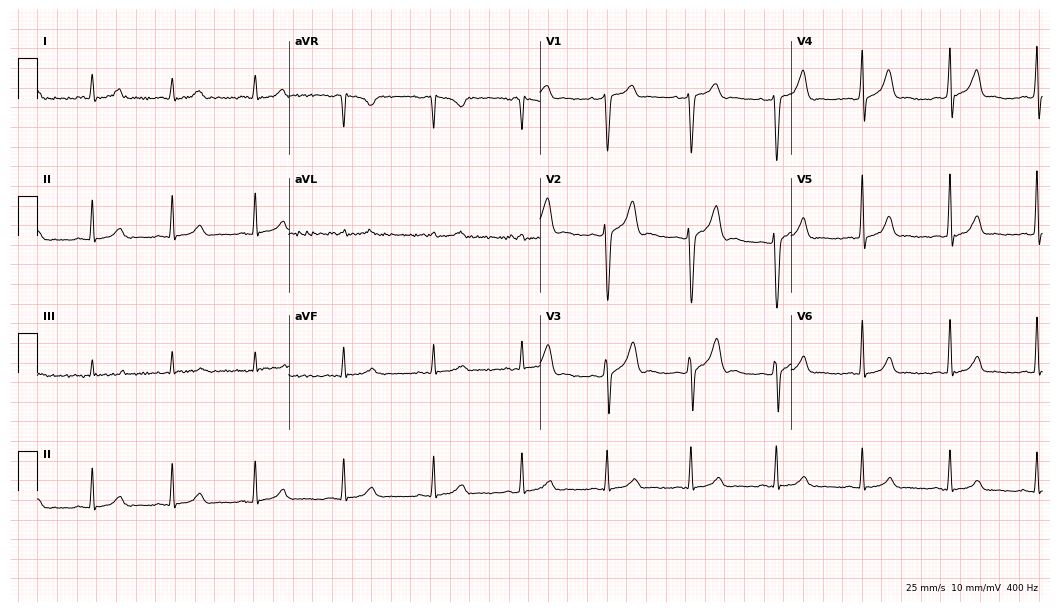
Electrocardiogram, a male, 38 years old. Of the six screened findings (first-degree AV block, right bundle branch block (RBBB), left bundle branch block (LBBB), sinus bradycardia, atrial fibrillation (AF), sinus tachycardia), none is recorded. Findings outside these six are not listed.